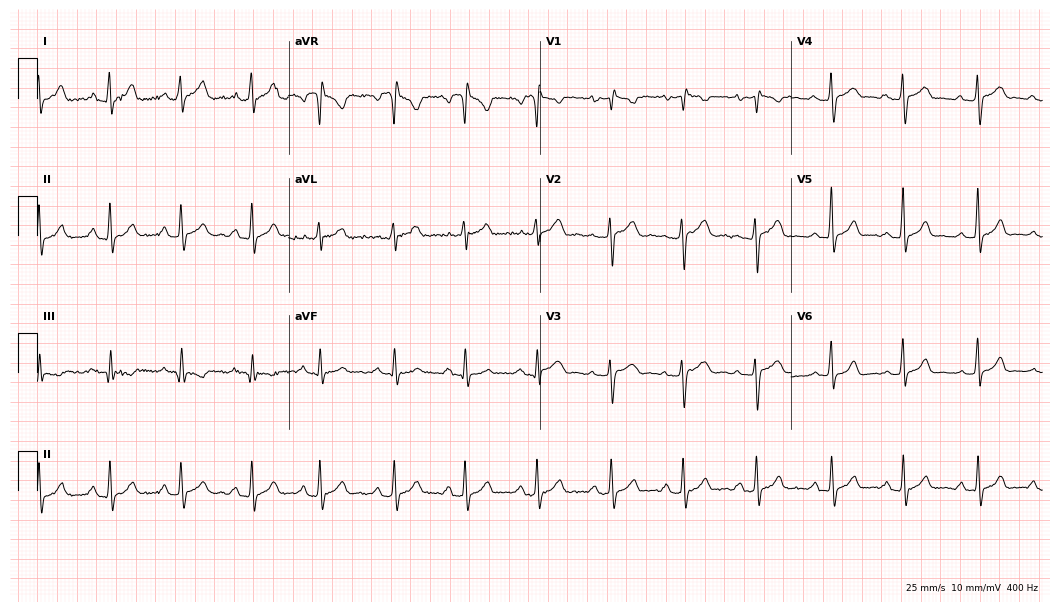
12-lead ECG from a 24-year-old female. Labelled as a normal ECG.